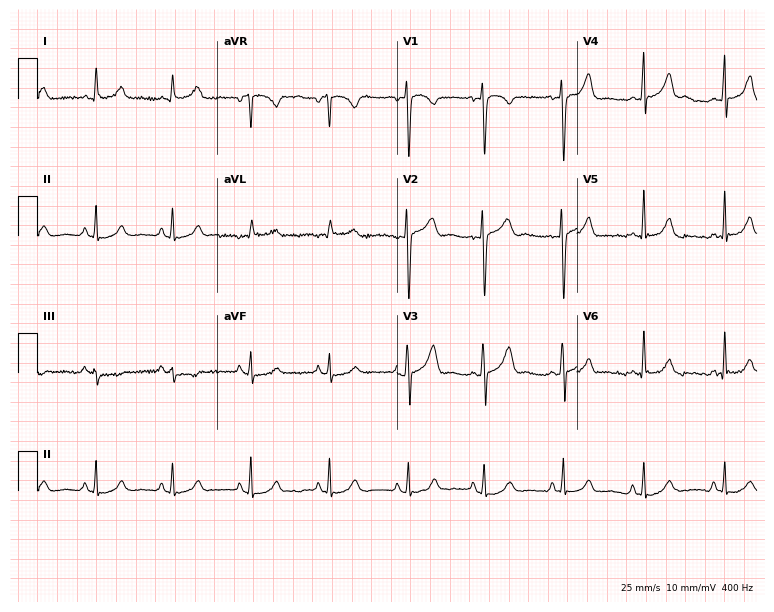
Resting 12-lead electrocardiogram (7.3-second recording at 400 Hz). Patient: a female, 24 years old. Read as a normal ECG.